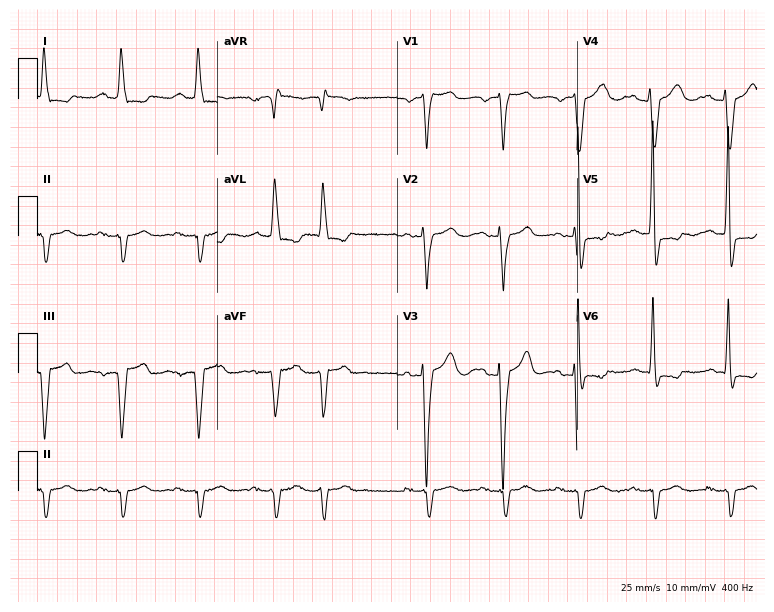
Resting 12-lead electrocardiogram (7.3-second recording at 400 Hz). Patient: a male, 77 years old. The tracing shows left bundle branch block (LBBB).